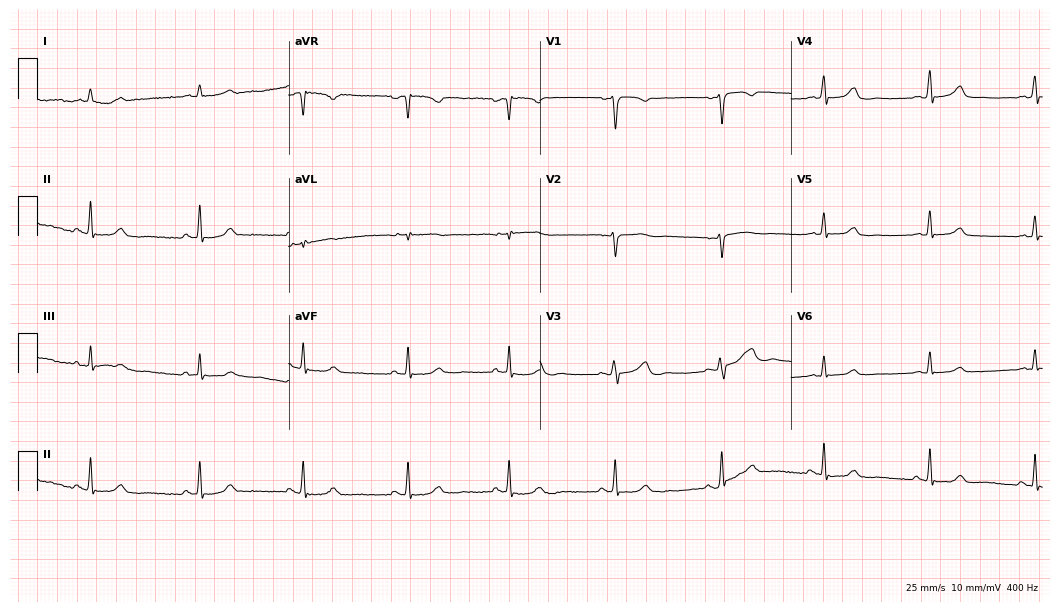
ECG — a female, 45 years old. Labelled as a normal ECG.